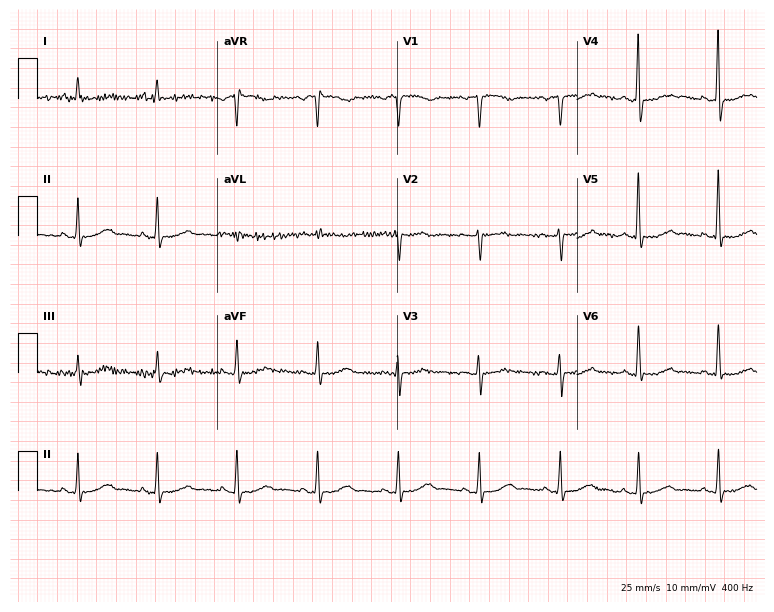
ECG (7.3-second recording at 400 Hz) — a woman, 59 years old. Screened for six findings — first-degree AV block, right bundle branch block, left bundle branch block, sinus bradycardia, atrial fibrillation, sinus tachycardia — none is recorded. Only these six findings were labelled.